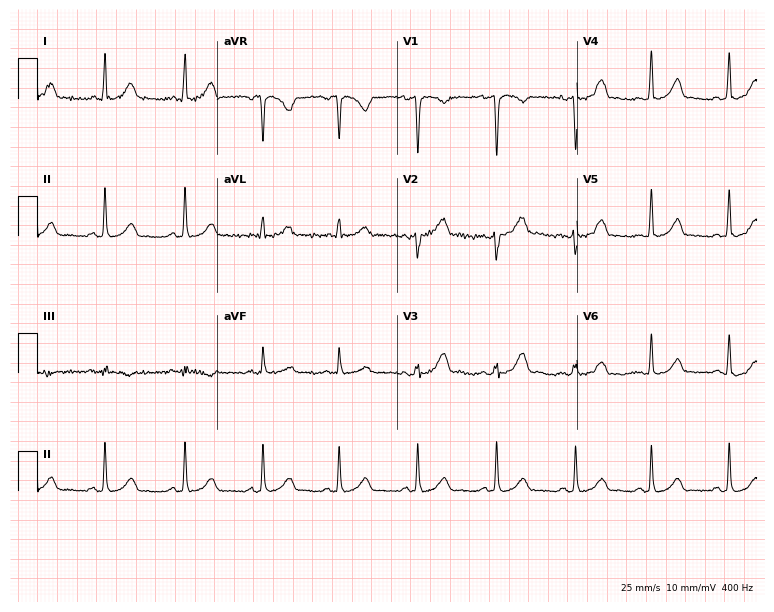
Standard 12-lead ECG recorded from a 20-year-old female patient. Read as a normal ECG.